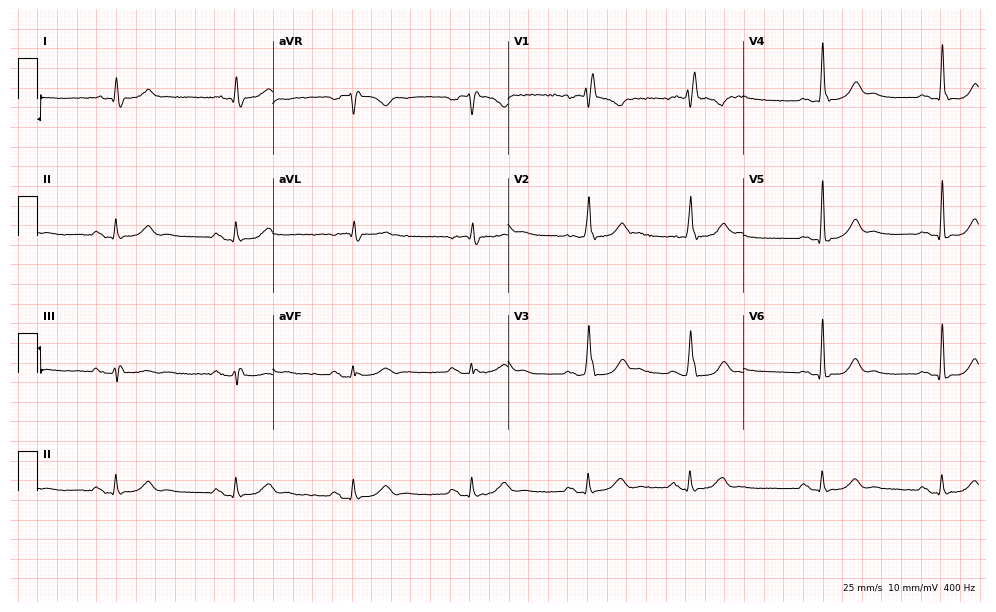
Electrocardiogram (9.6-second recording at 400 Hz), an 85-year-old female patient. Interpretation includes right bundle branch block.